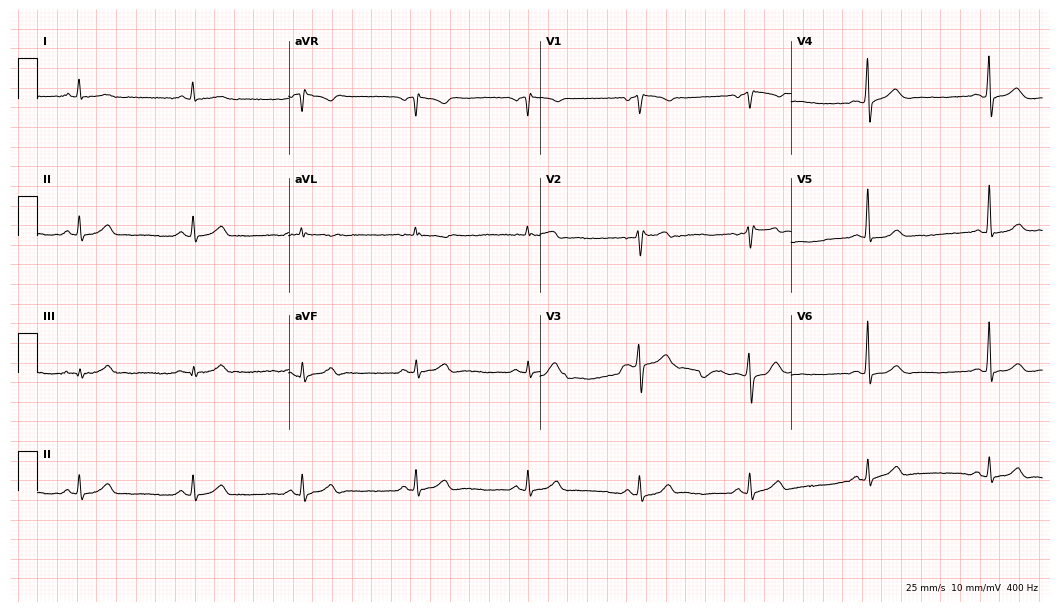
Standard 12-lead ECG recorded from a 51-year-old male (10.2-second recording at 400 Hz). Read as a normal ECG.